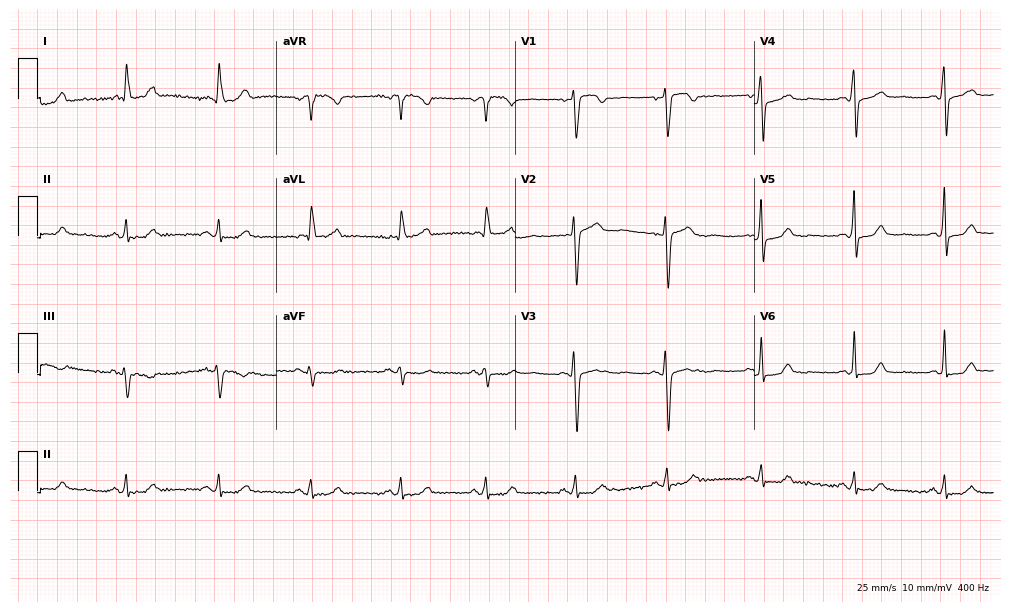
ECG (9.7-second recording at 400 Hz) — a woman, 65 years old. Labelled as a normal ECG.